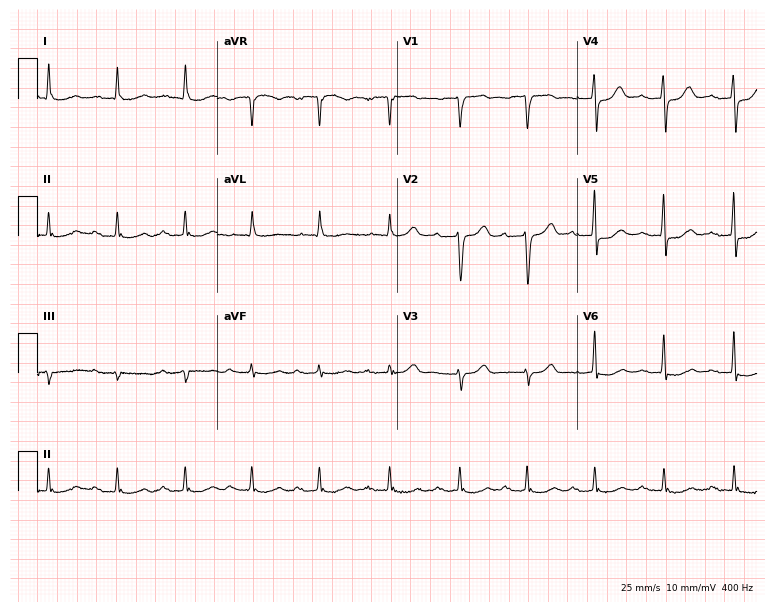
12-lead ECG from a 72-year-old male (7.3-second recording at 400 Hz). Shows first-degree AV block.